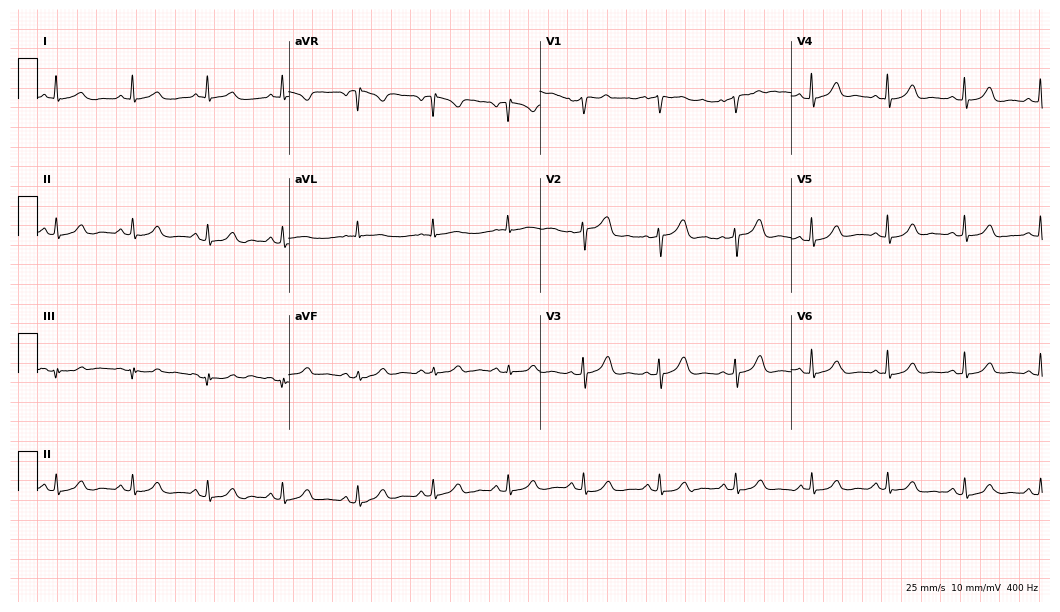
ECG (10.2-second recording at 400 Hz) — a 58-year-old female. Screened for six findings — first-degree AV block, right bundle branch block (RBBB), left bundle branch block (LBBB), sinus bradycardia, atrial fibrillation (AF), sinus tachycardia — none is recorded.